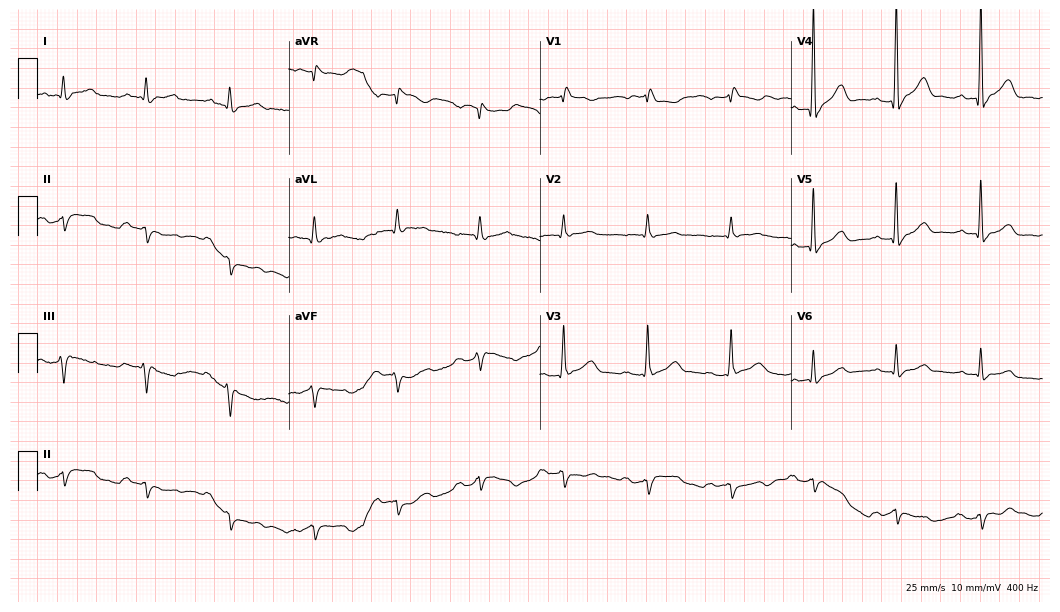
ECG — a male patient, 77 years old. Findings include first-degree AV block, right bundle branch block.